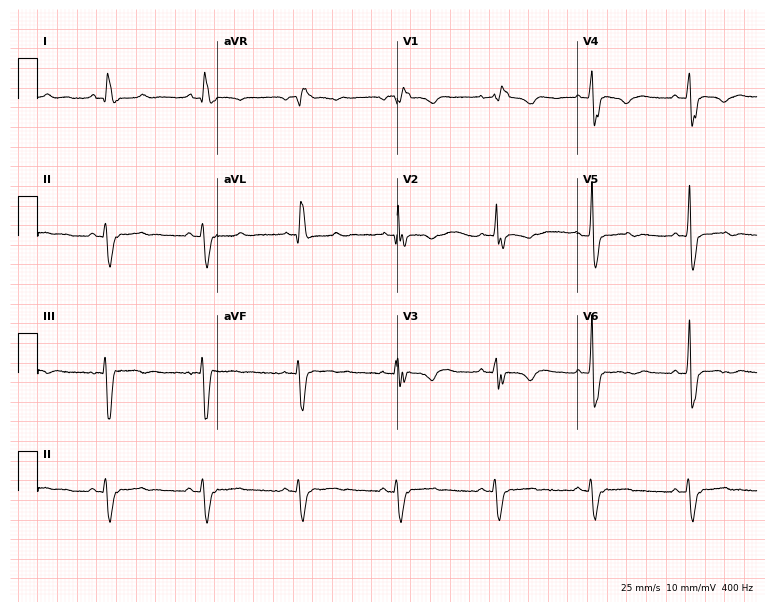
Electrocardiogram (7.3-second recording at 400 Hz), a woman, 71 years old. Interpretation includes right bundle branch block.